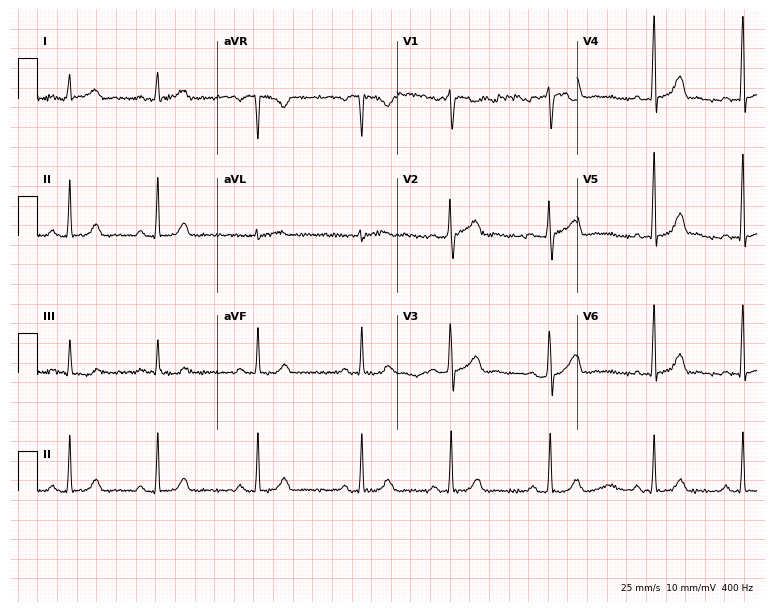
Electrocardiogram, a 22-year-old female patient. Interpretation includes first-degree AV block.